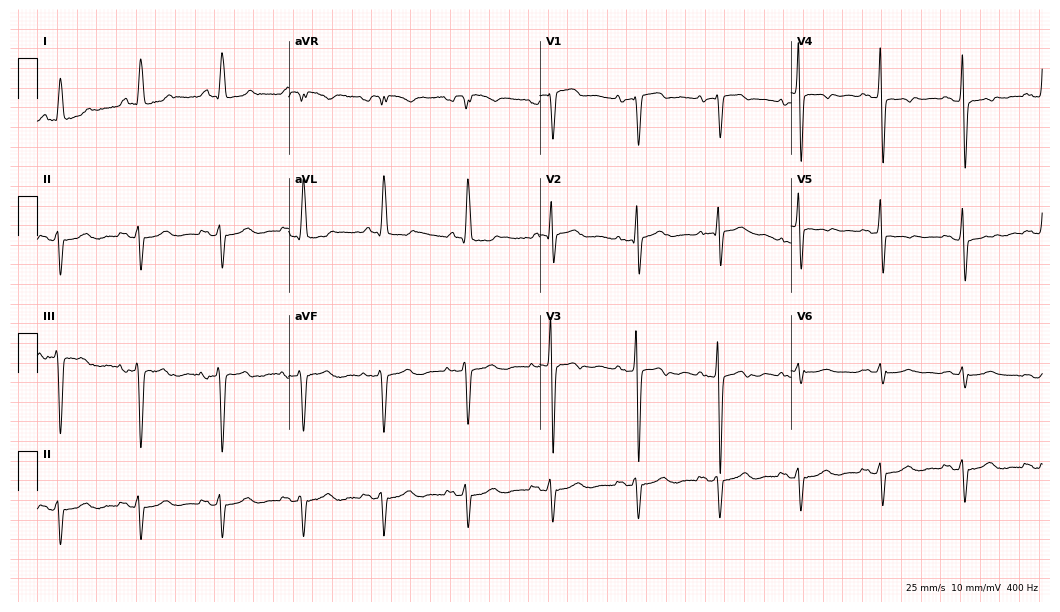
12-lead ECG (10.2-second recording at 400 Hz) from a female patient, 43 years old. Screened for six findings — first-degree AV block, right bundle branch block, left bundle branch block, sinus bradycardia, atrial fibrillation, sinus tachycardia — none is recorded. Other findings, if any, are not listed.